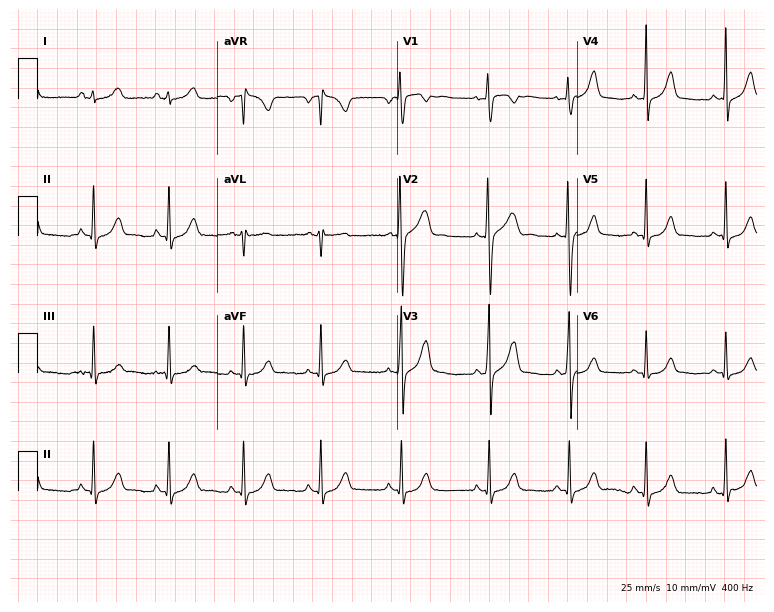
12-lead ECG from a 29-year-old female patient. Screened for six findings — first-degree AV block, right bundle branch block, left bundle branch block, sinus bradycardia, atrial fibrillation, sinus tachycardia — none is recorded. Findings outside these six are not listed.